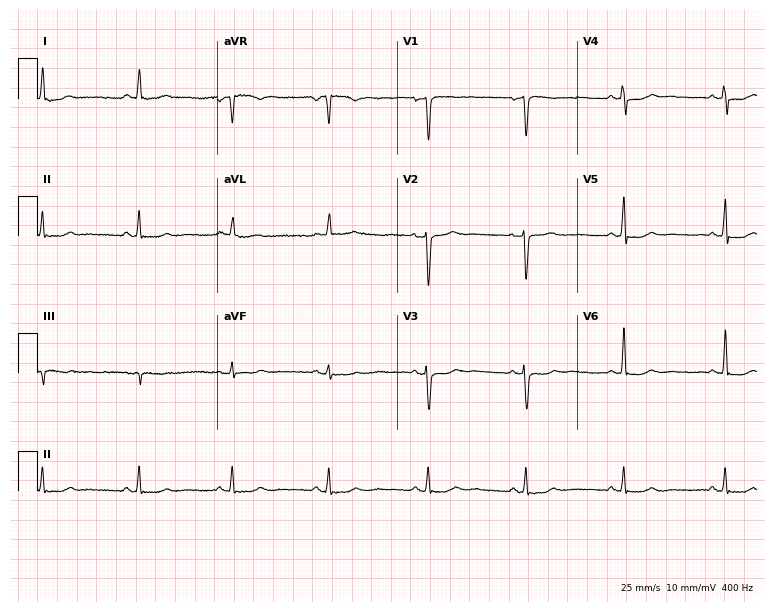
12-lead ECG (7.3-second recording at 400 Hz) from a 51-year-old female patient. Screened for six findings — first-degree AV block, right bundle branch block, left bundle branch block, sinus bradycardia, atrial fibrillation, sinus tachycardia — none is recorded.